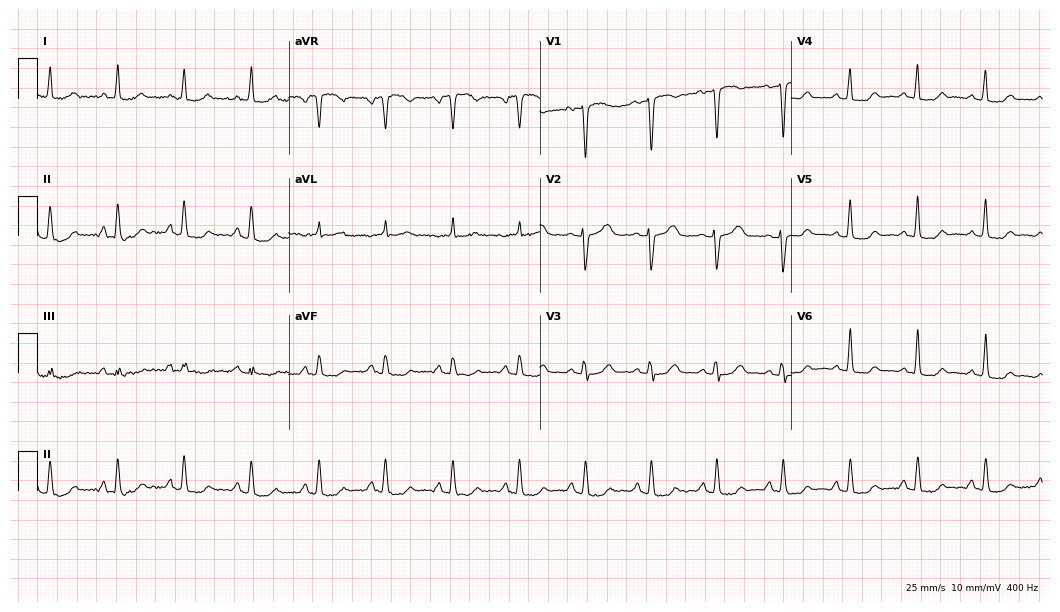
12-lead ECG from a woman, 52 years old. No first-degree AV block, right bundle branch block (RBBB), left bundle branch block (LBBB), sinus bradycardia, atrial fibrillation (AF) or sinus tachycardia recorded for this tracing. Only these six findings were labelled.